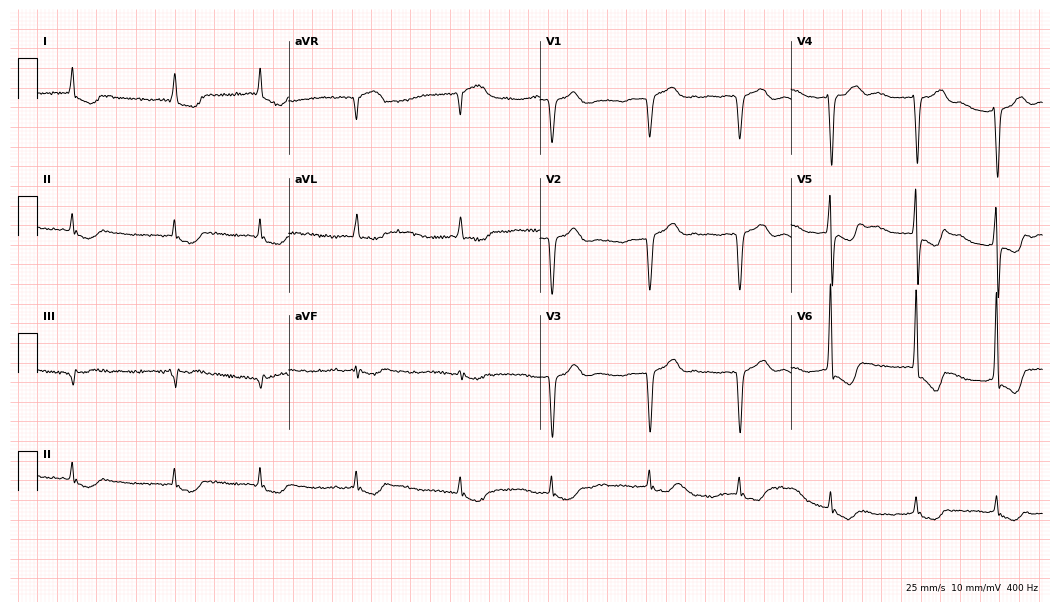
Resting 12-lead electrocardiogram. Patient: a woman, 77 years old. The tracing shows atrial fibrillation (AF).